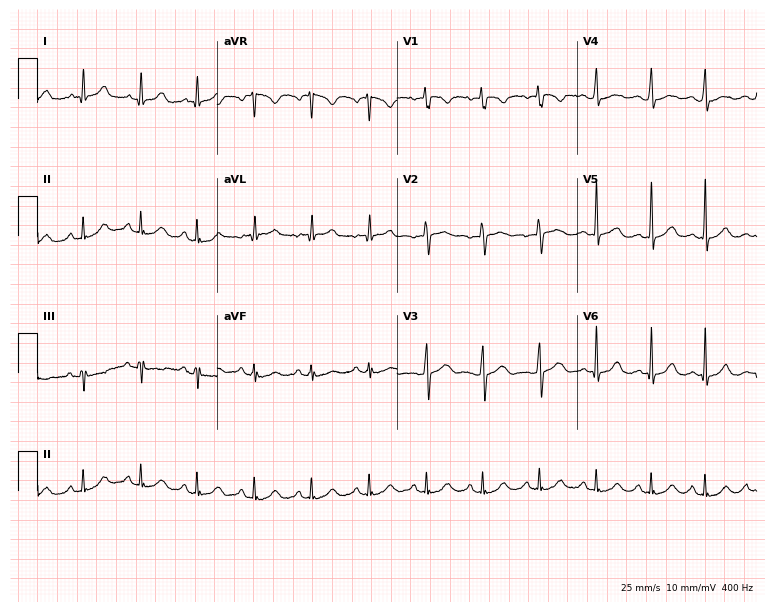
Resting 12-lead electrocardiogram (7.3-second recording at 400 Hz). Patient: a 25-year-old female. Read as a normal ECG.